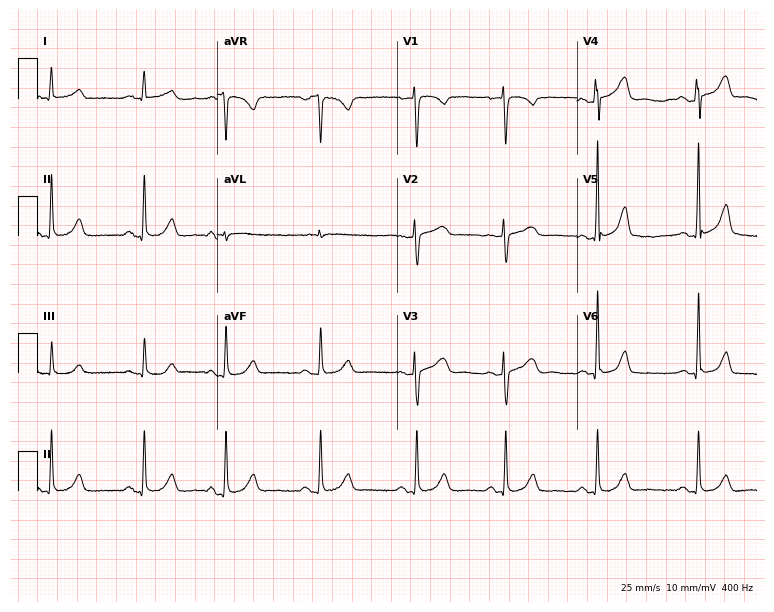
Electrocardiogram, a female patient, 36 years old. Of the six screened findings (first-degree AV block, right bundle branch block, left bundle branch block, sinus bradycardia, atrial fibrillation, sinus tachycardia), none is recorded. Other findings, if any, are not listed.